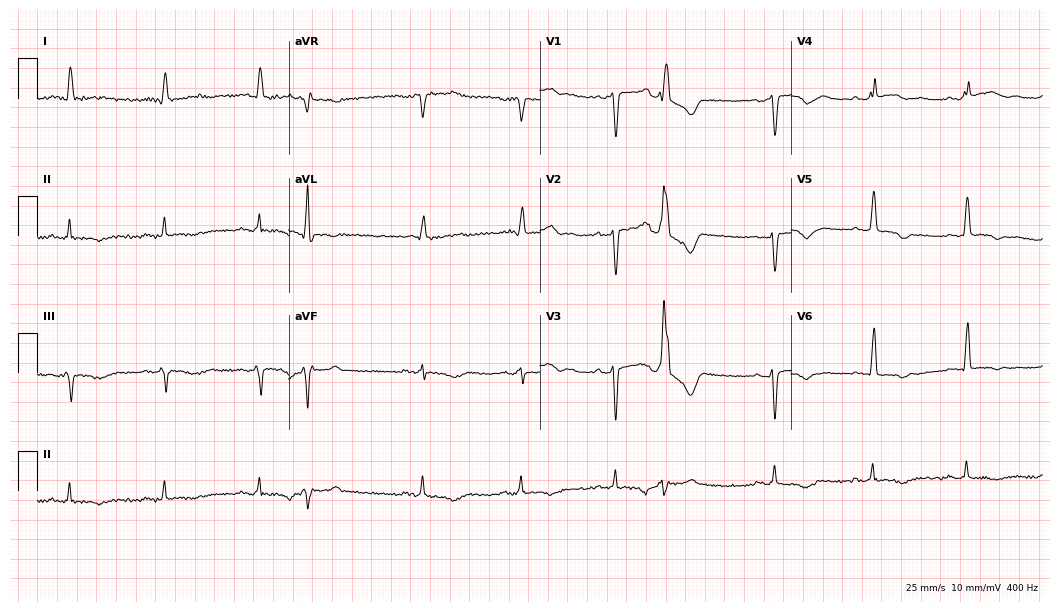
Resting 12-lead electrocardiogram. Patient: a man, 65 years old. None of these six findings is recorded: first-degree AV block, right bundle branch block, left bundle branch block, sinus bradycardia, atrial fibrillation, sinus tachycardia. Only these six findings were labelled.